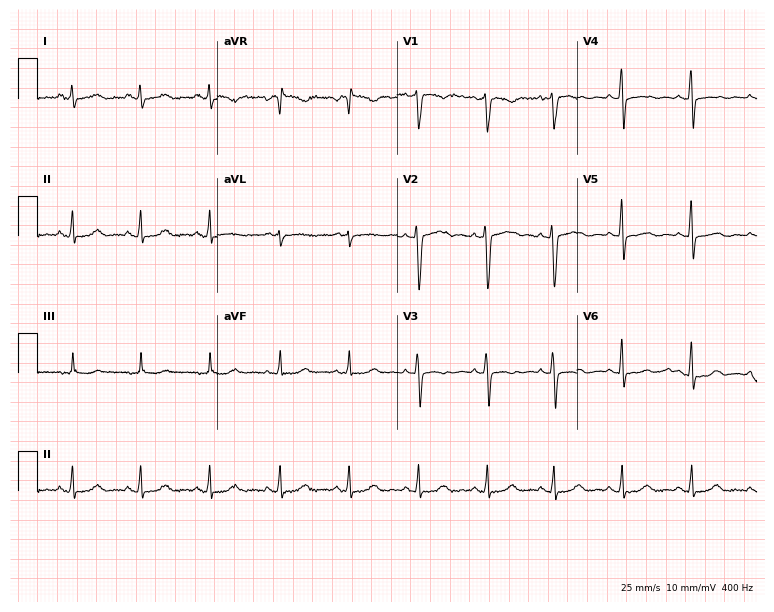
Resting 12-lead electrocardiogram (7.3-second recording at 400 Hz). Patient: a female, 34 years old. Read as a normal ECG.